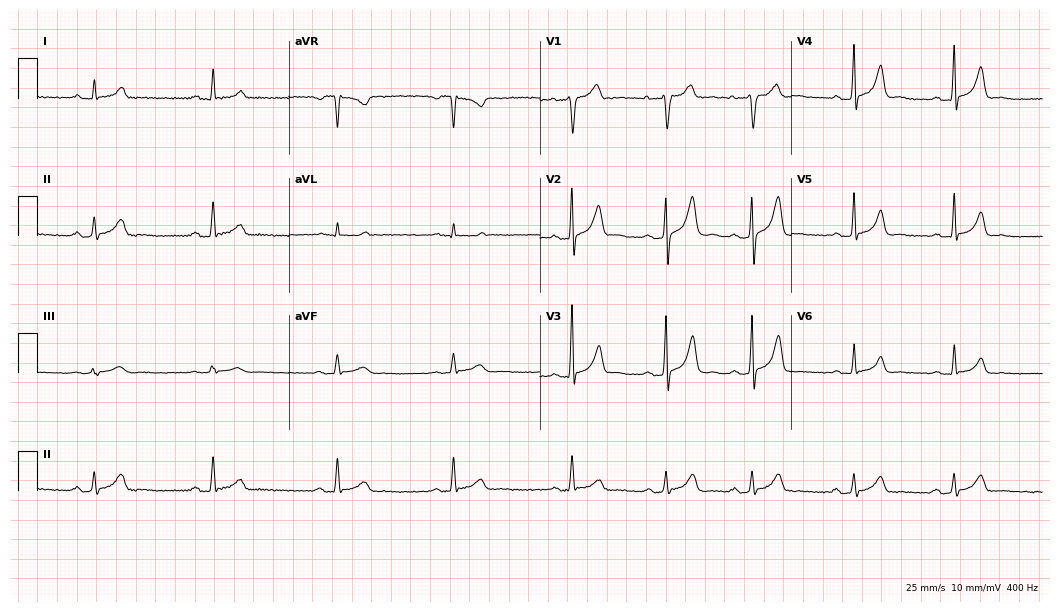
Electrocardiogram, a male, 35 years old. Overall reading on record: normal ECG.